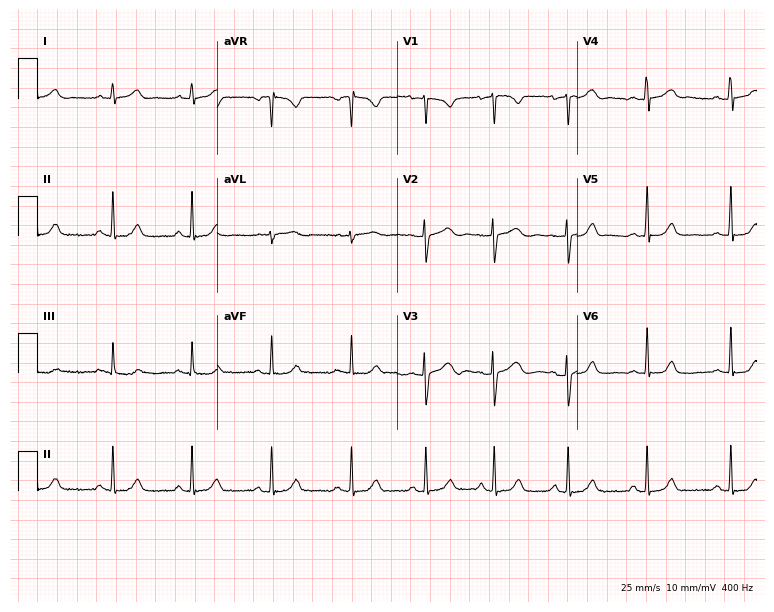
12-lead ECG (7.3-second recording at 400 Hz) from an 18-year-old woman. Labelled as a normal ECG.